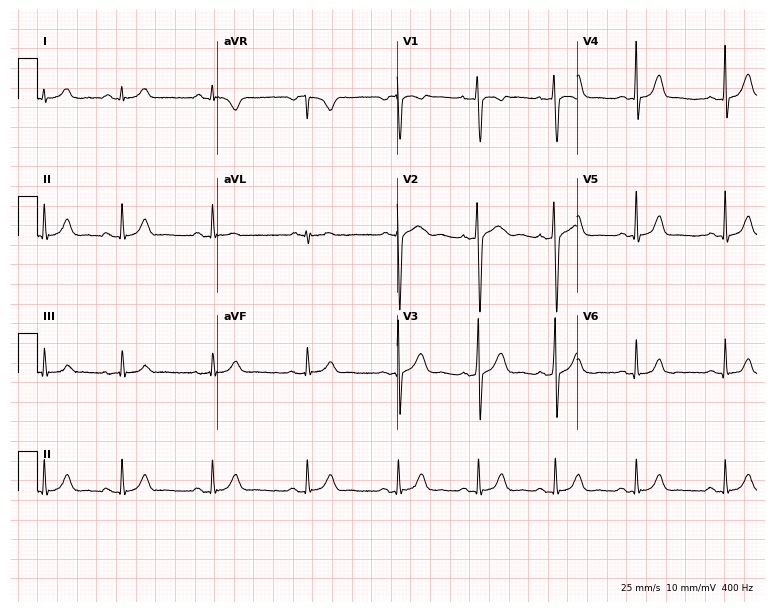
Standard 12-lead ECG recorded from a woman, 22 years old. Read as a normal ECG.